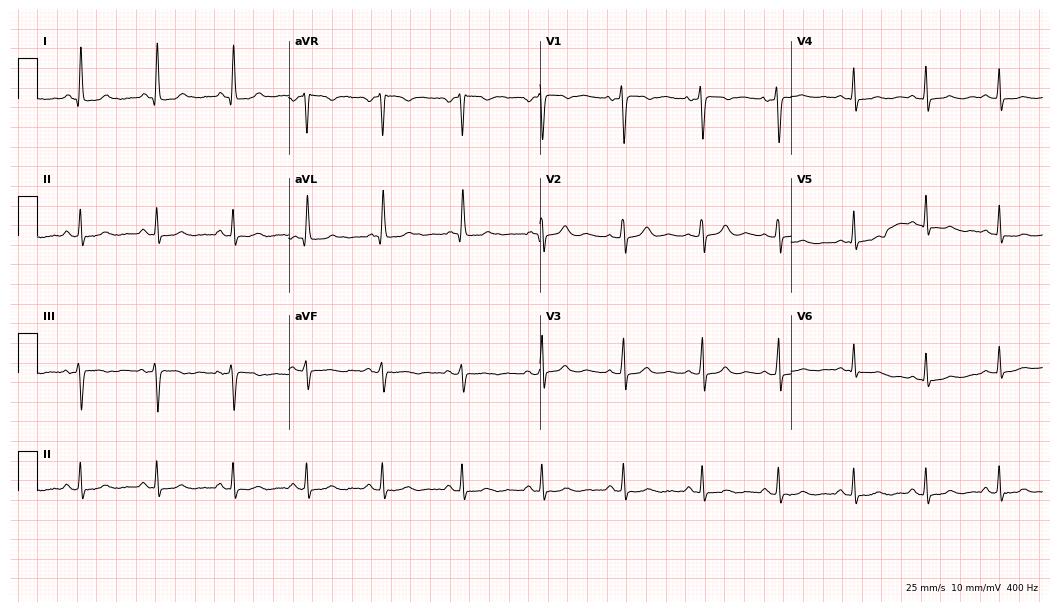
12-lead ECG from a female, 46 years old (10.2-second recording at 400 Hz). Recorded interpretation: within normal limits.